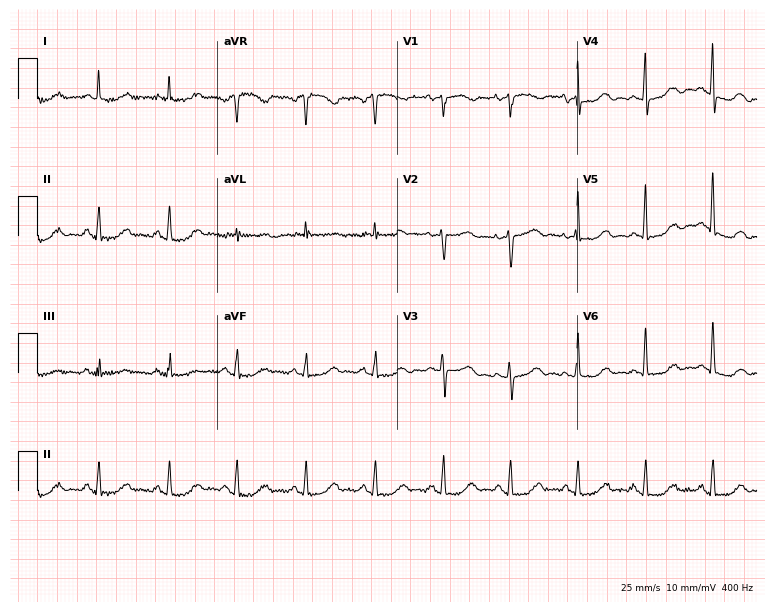
ECG — a female patient, 70 years old. Labelled as a normal ECG.